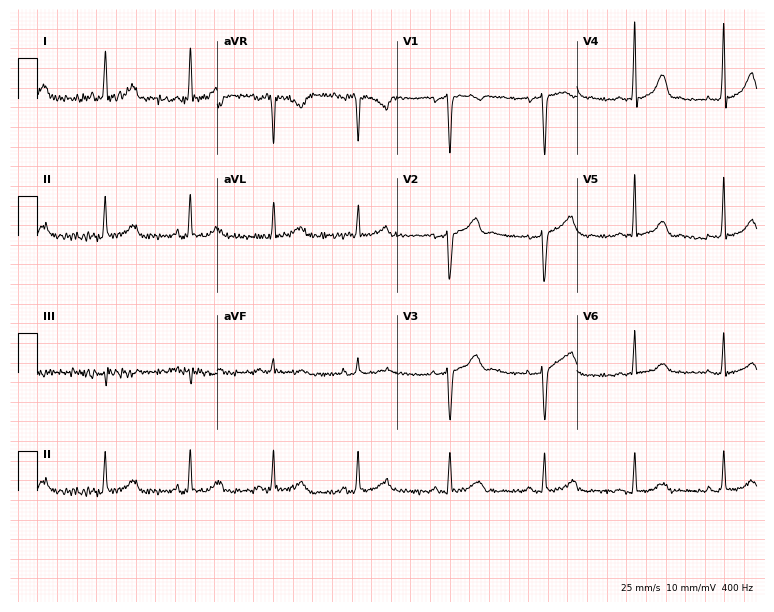
Resting 12-lead electrocardiogram. Patient: a 57-year-old female. Read as a normal ECG.